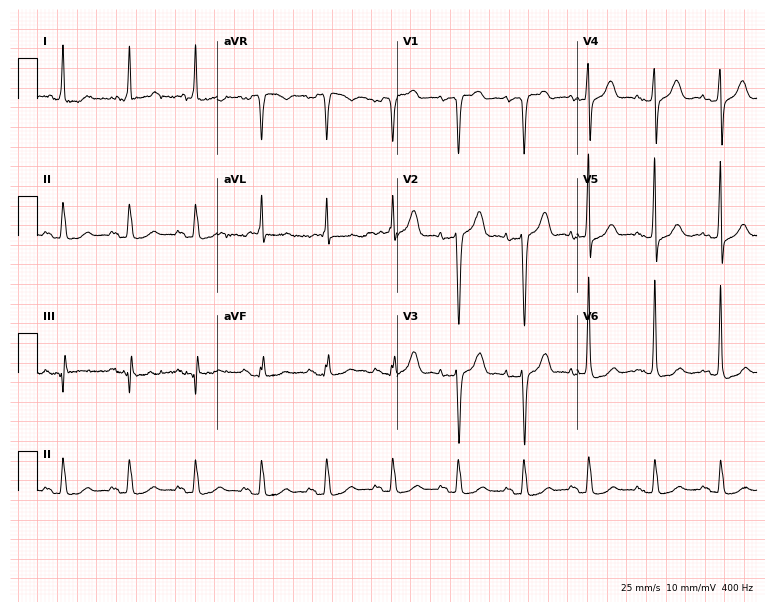
12-lead ECG from a male patient, 81 years old (7.3-second recording at 400 Hz). No first-degree AV block, right bundle branch block, left bundle branch block, sinus bradycardia, atrial fibrillation or sinus tachycardia recorded for this tracing.